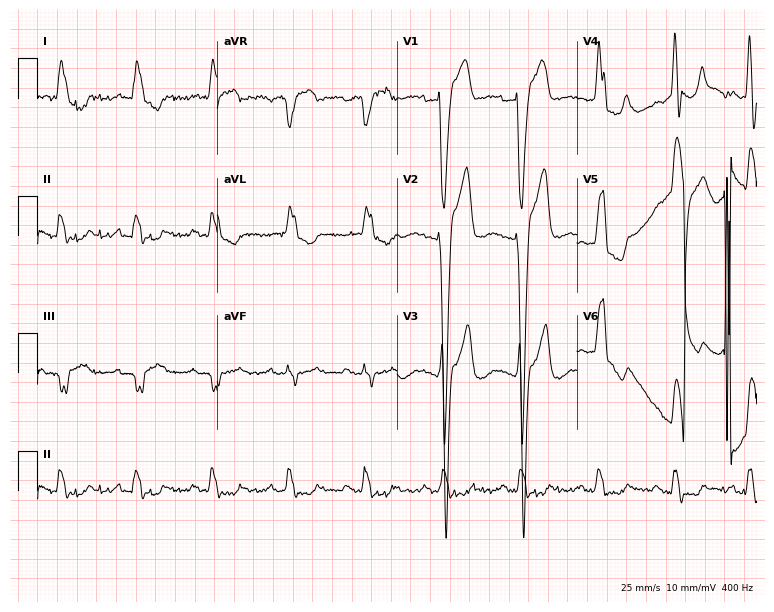
Resting 12-lead electrocardiogram. Patient: an 83-year-old female. None of these six findings is recorded: first-degree AV block, right bundle branch block, left bundle branch block, sinus bradycardia, atrial fibrillation, sinus tachycardia.